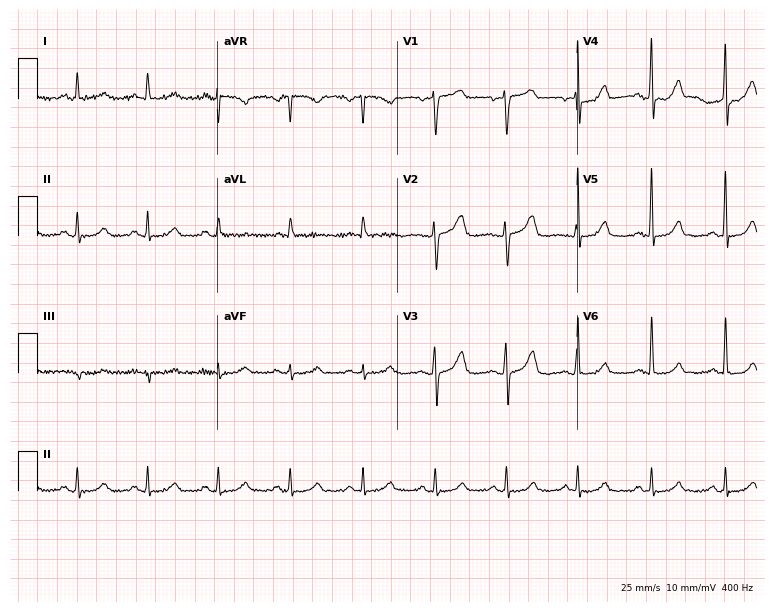
Resting 12-lead electrocardiogram. Patient: a 78-year-old female. Read as a normal ECG.